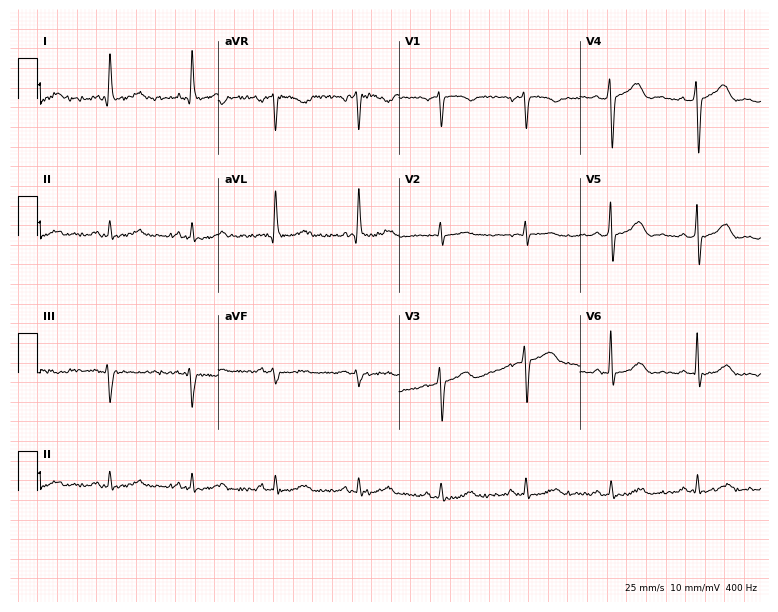
Electrocardiogram (7.4-second recording at 400 Hz), a female patient, 55 years old. Of the six screened findings (first-degree AV block, right bundle branch block (RBBB), left bundle branch block (LBBB), sinus bradycardia, atrial fibrillation (AF), sinus tachycardia), none is recorded.